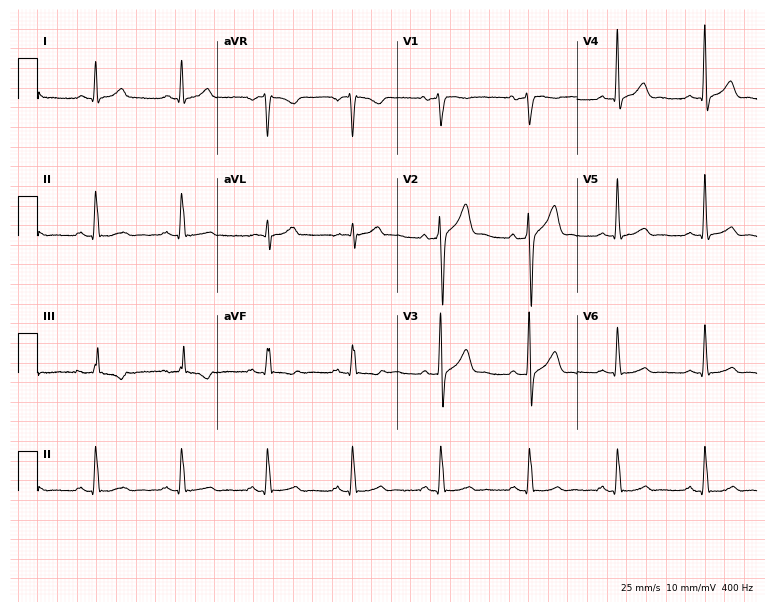
Electrocardiogram, a 50-year-old man. Overall reading on record: normal ECG.